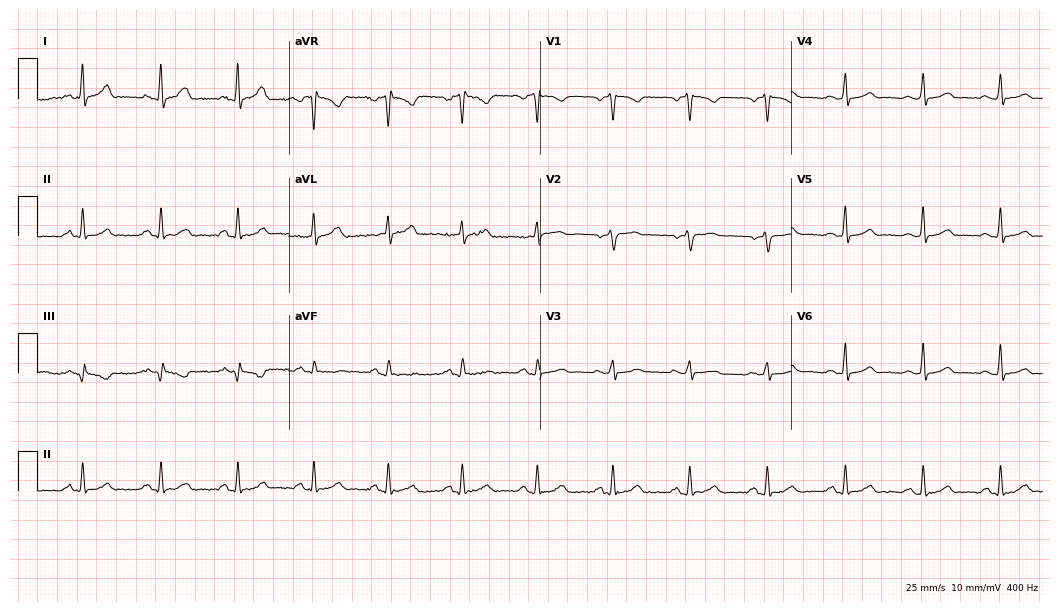
Standard 12-lead ECG recorded from a female, 42 years old (10.2-second recording at 400 Hz). Read as a normal ECG.